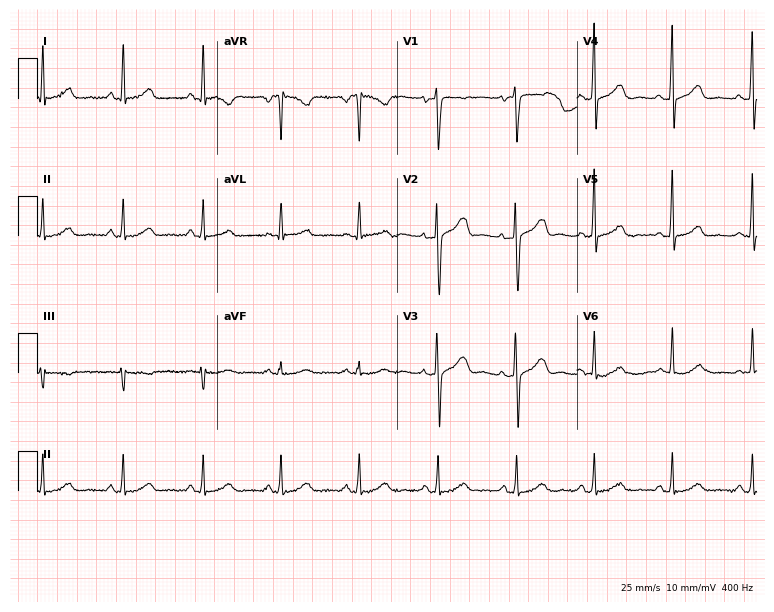
12-lead ECG from a female patient, 43 years old. Labelled as a normal ECG.